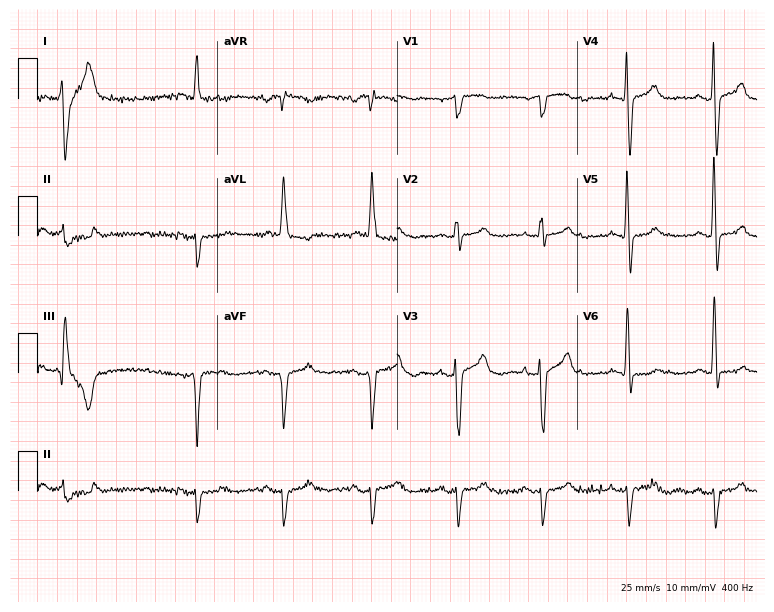
12-lead ECG (7.3-second recording at 400 Hz) from a male patient, 83 years old. Labelled as a normal ECG.